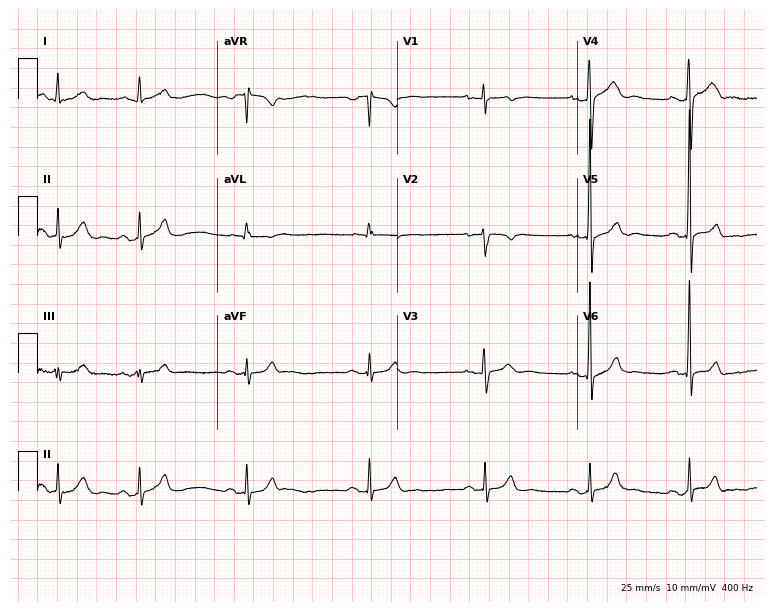
Resting 12-lead electrocardiogram (7.3-second recording at 400 Hz). Patient: a 22-year-old male. Read as a normal ECG.